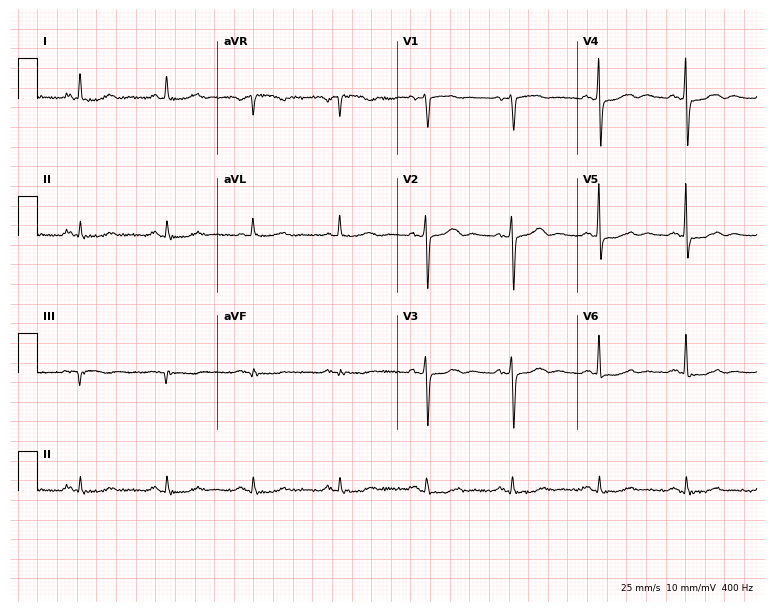
ECG (7.3-second recording at 400 Hz) — an 85-year-old woman. Screened for six findings — first-degree AV block, right bundle branch block, left bundle branch block, sinus bradycardia, atrial fibrillation, sinus tachycardia — none is recorded.